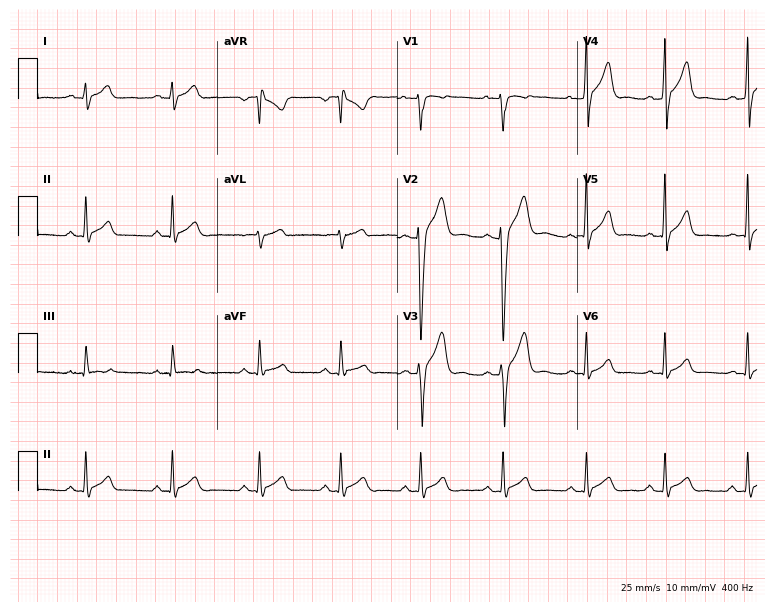
Resting 12-lead electrocardiogram (7.3-second recording at 400 Hz). Patient: a male, 20 years old. None of these six findings is recorded: first-degree AV block, right bundle branch block, left bundle branch block, sinus bradycardia, atrial fibrillation, sinus tachycardia. Other findings, if any, are not listed.